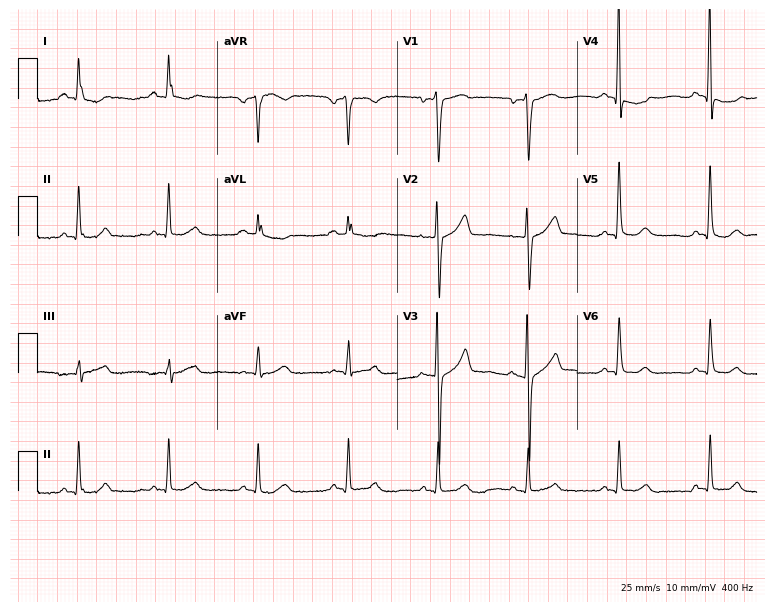
Resting 12-lead electrocardiogram. Patient: a male, 61 years old. None of these six findings is recorded: first-degree AV block, right bundle branch block, left bundle branch block, sinus bradycardia, atrial fibrillation, sinus tachycardia.